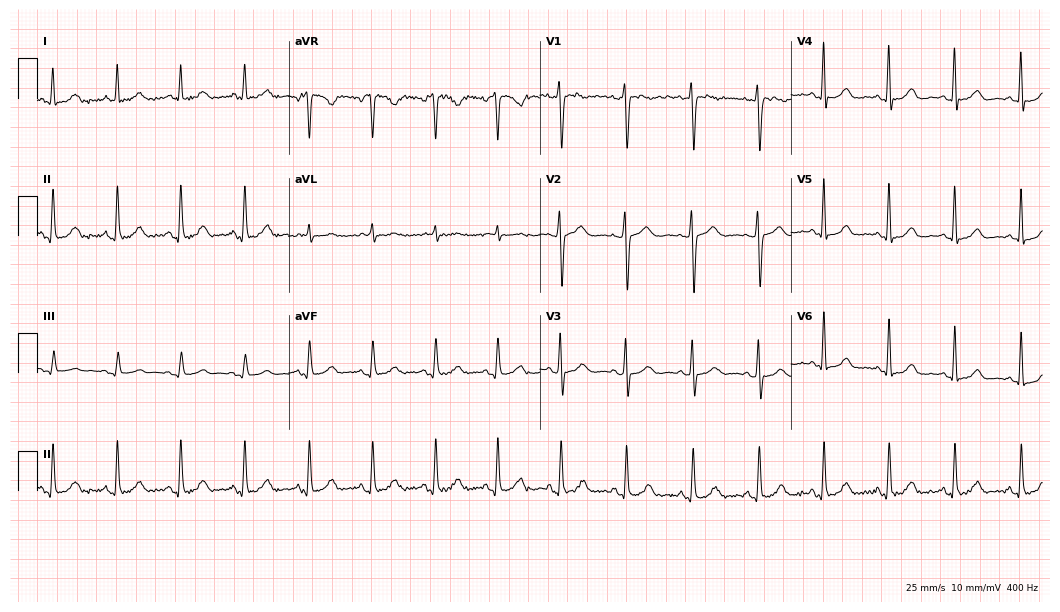
Electrocardiogram, a 48-year-old female patient. Overall reading on record: normal ECG.